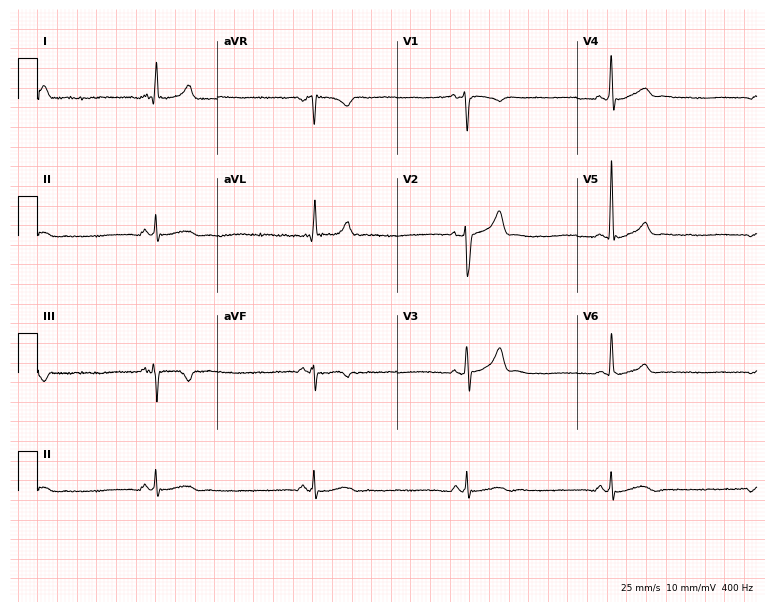
ECG (7.3-second recording at 400 Hz) — a male patient, 47 years old. Findings include sinus bradycardia (a sinus rate of 50 beats per minute or less).